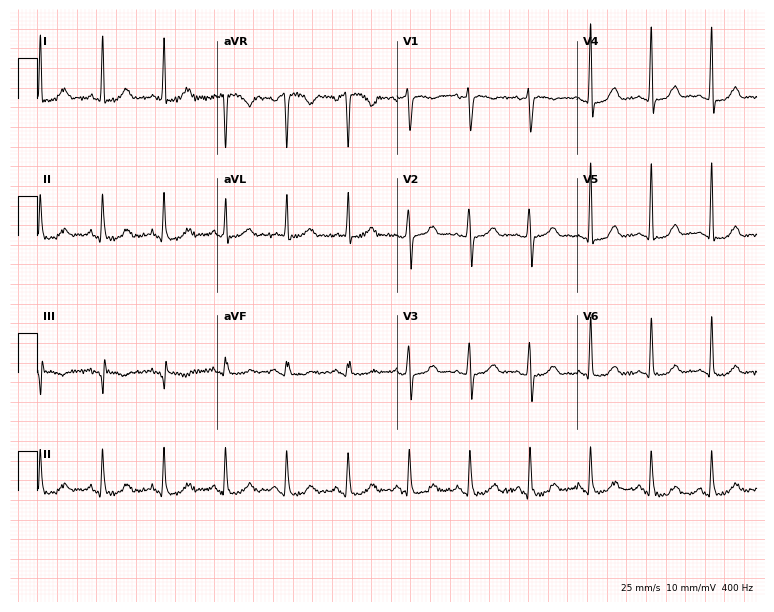
Resting 12-lead electrocardiogram. Patient: a female, 67 years old. None of these six findings is recorded: first-degree AV block, right bundle branch block (RBBB), left bundle branch block (LBBB), sinus bradycardia, atrial fibrillation (AF), sinus tachycardia.